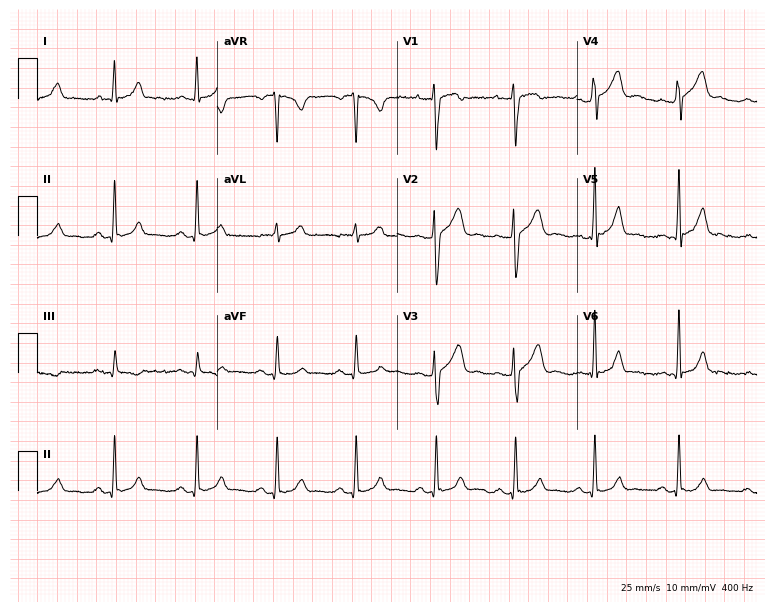
12-lead ECG from a man, 32 years old. No first-degree AV block, right bundle branch block, left bundle branch block, sinus bradycardia, atrial fibrillation or sinus tachycardia recorded for this tracing. Findings outside these six are not listed.